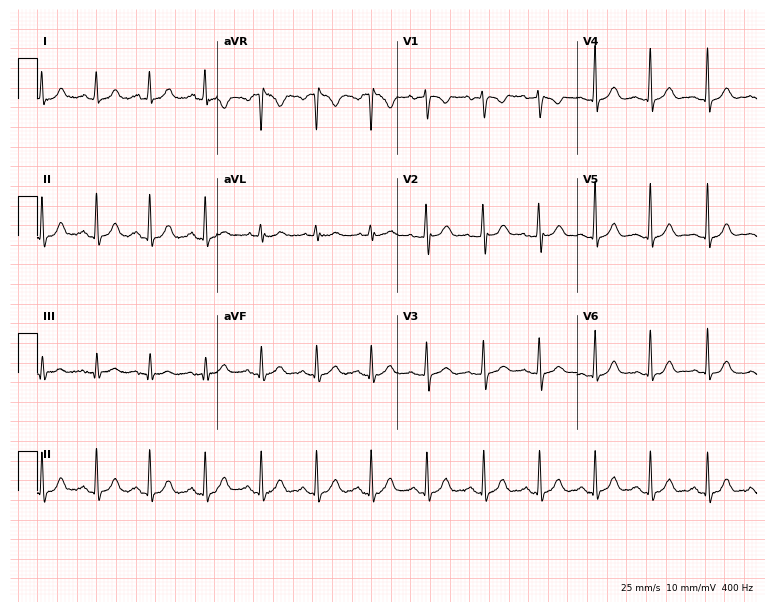
Resting 12-lead electrocardiogram. Patient: a female, 27 years old. The tracing shows sinus tachycardia (a sinus rate of 100 beats per minute or more).